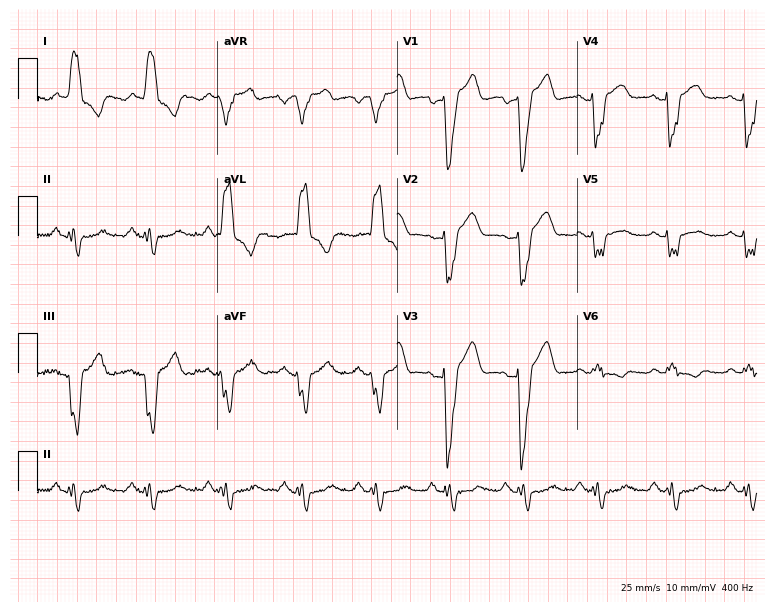
12-lead ECG from a female patient, 68 years old. Findings include left bundle branch block (LBBB).